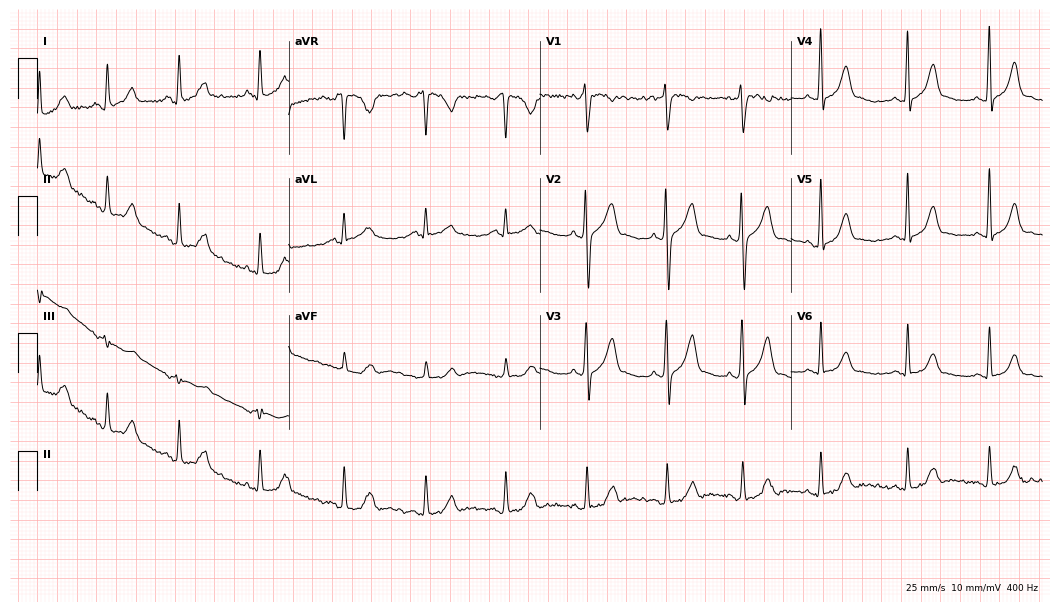
12-lead ECG (10.2-second recording at 400 Hz) from a female patient, 28 years old. Labelled as a normal ECG.